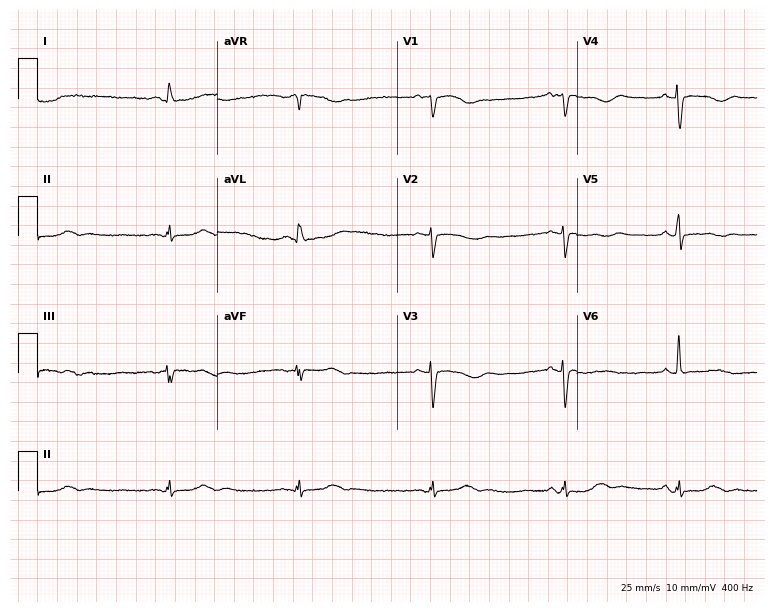
Electrocardiogram (7.3-second recording at 400 Hz), a woman, 61 years old. Interpretation includes sinus bradycardia (a sinus rate of 50 beats per minute or less).